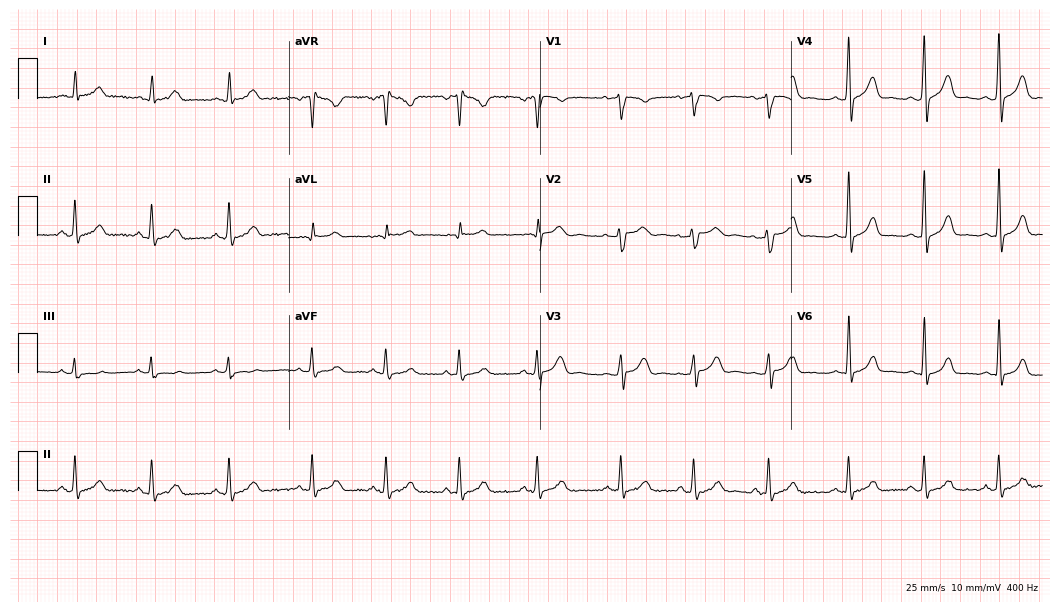
ECG — a woman, 30 years old. Labelled as a normal ECG.